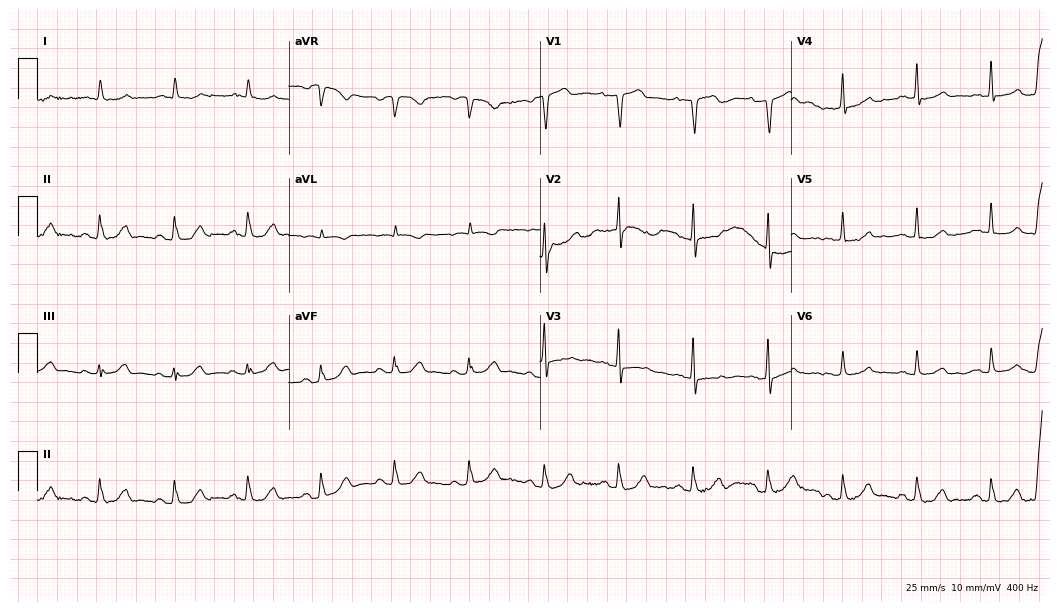
12-lead ECG from a male, 75 years old. Screened for six findings — first-degree AV block, right bundle branch block, left bundle branch block, sinus bradycardia, atrial fibrillation, sinus tachycardia — none is recorded.